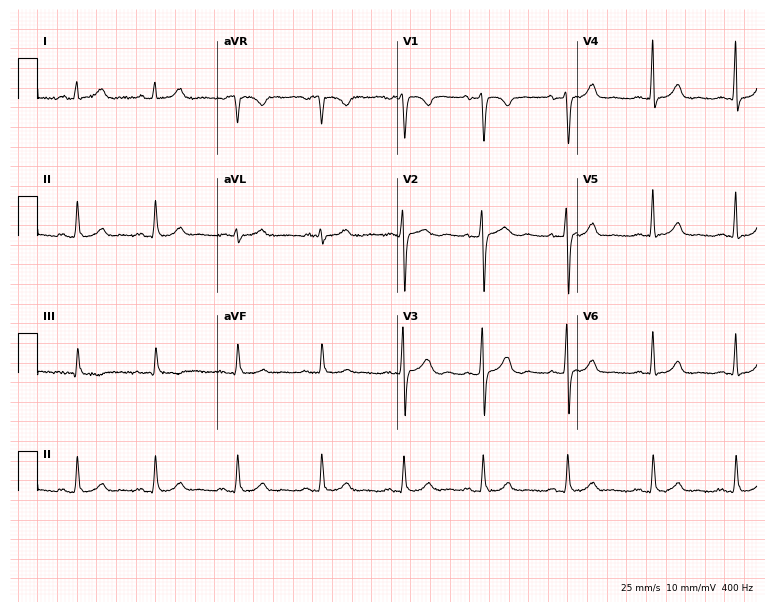
Electrocardiogram, a female patient, 41 years old. Of the six screened findings (first-degree AV block, right bundle branch block, left bundle branch block, sinus bradycardia, atrial fibrillation, sinus tachycardia), none is recorded. Other findings, if any, are not listed.